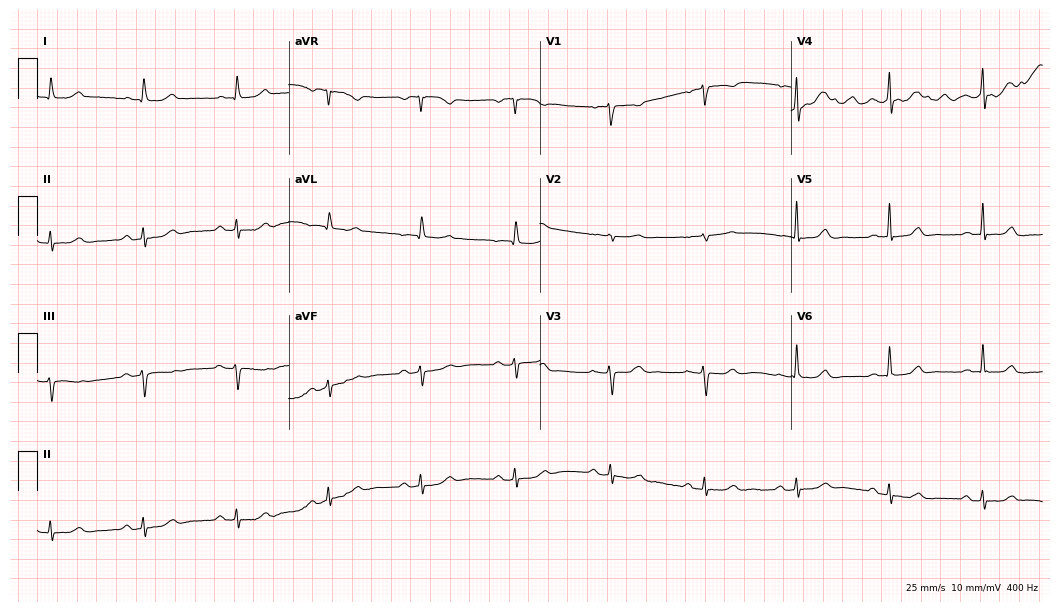
Resting 12-lead electrocardiogram. Patient: a woman, 76 years old. Read as a normal ECG.